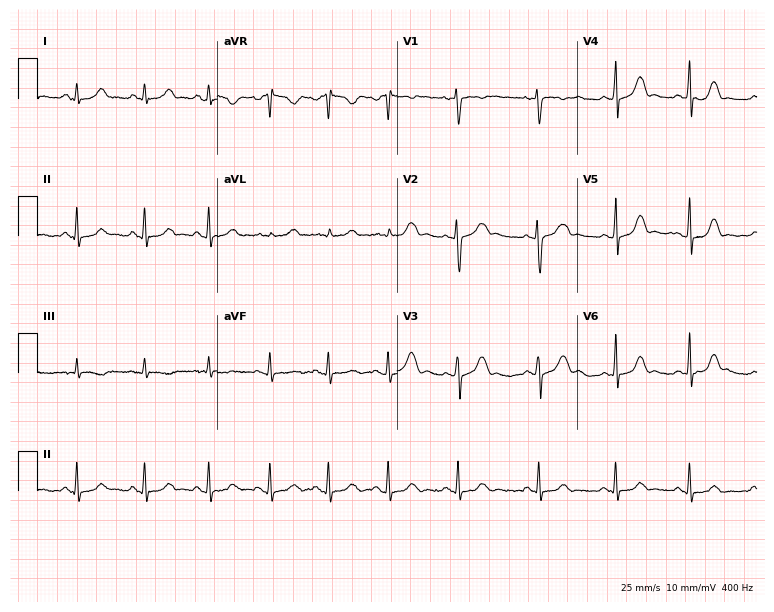
Standard 12-lead ECG recorded from a 17-year-old woman (7.3-second recording at 400 Hz). Read as a normal ECG.